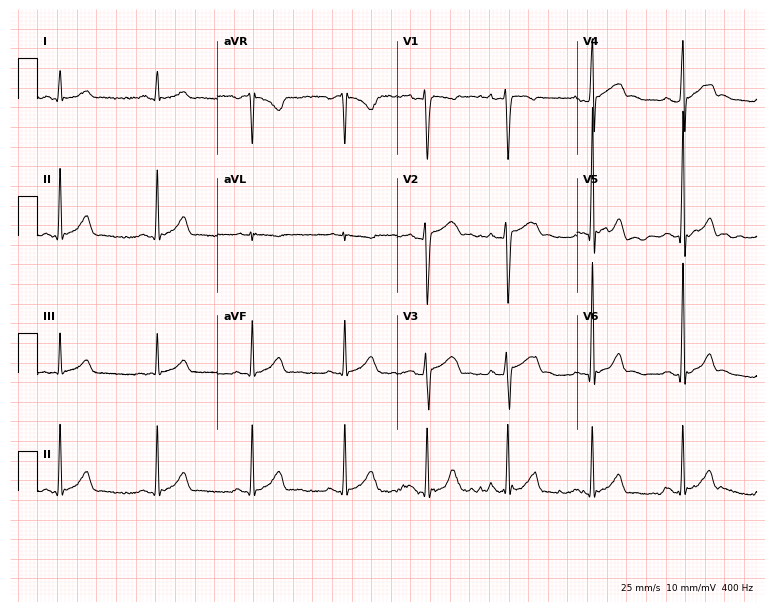
Resting 12-lead electrocardiogram. Patient: a 17-year-old man. Read as a normal ECG.